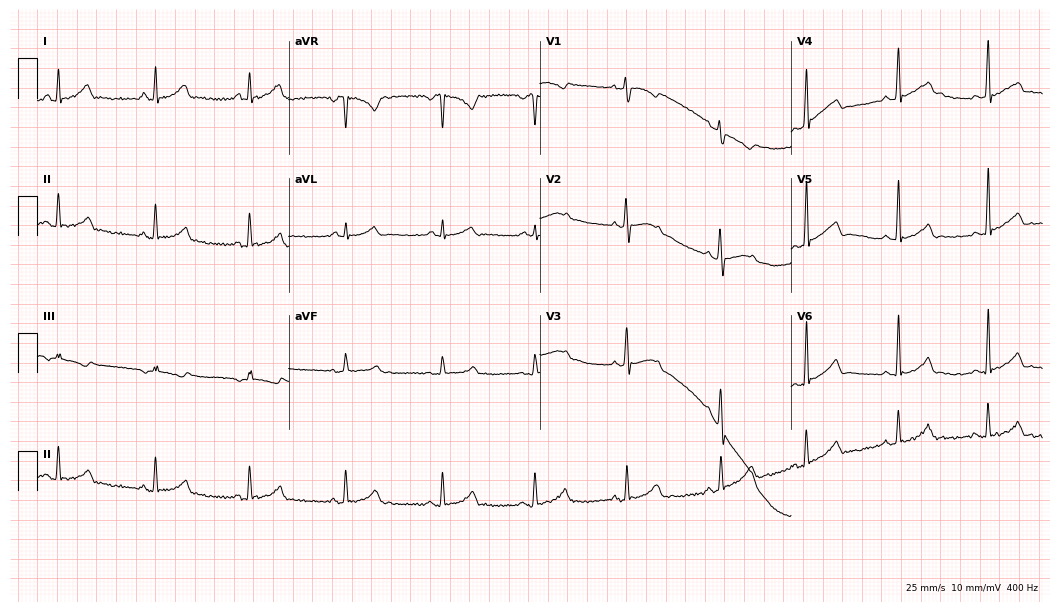
Resting 12-lead electrocardiogram (10.2-second recording at 400 Hz). Patient: a female, 19 years old. Read as a normal ECG.